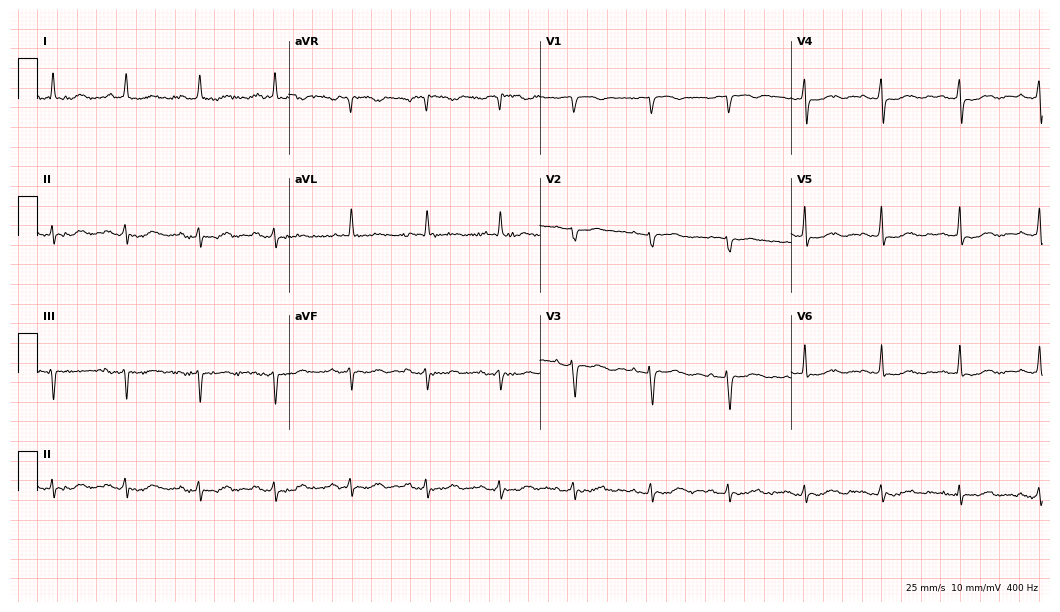
Resting 12-lead electrocardiogram (10.2-second recording at 400 Hz). Patient: a female, 71 years old. None of these six findings is recorded: first-degree AV block, right bundle branch block, left bundle branch block, sinus bradycardia, atrial fibrillation, sinus tachycardia.